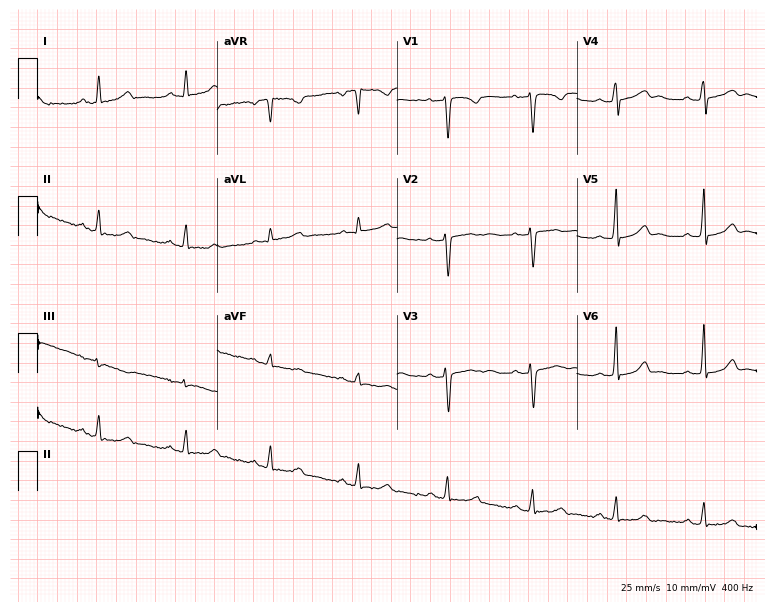
12-lead ECG from a 33-year-old female. Screened for six findings — first-degree AV block, right bundle branch block, left bundle branch block, sinus bradycardia, atrial fibrillation, sinus tachycardia — none is recorded.